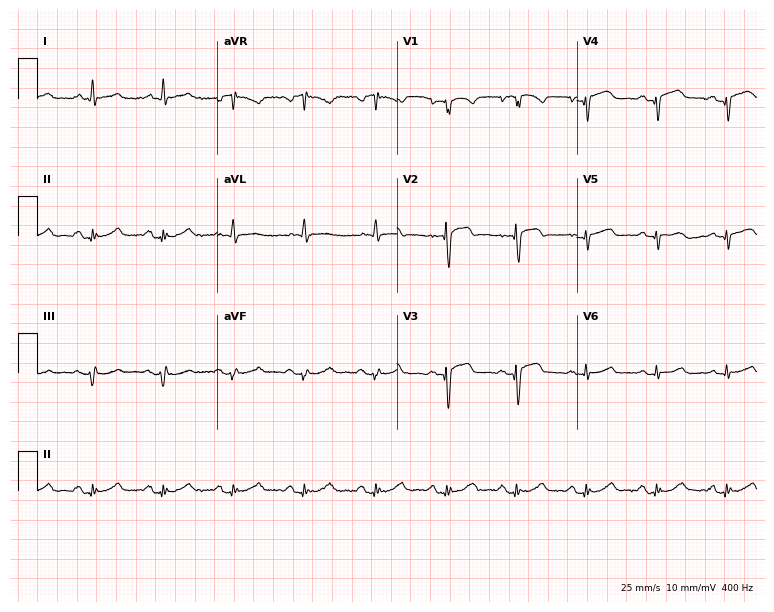
Electrocardiogram (7.3-second recording at 400 Hz), a 65-year-old male. Of the six screened findings (first-degree AV block, right bundle branch block (RBBB), left bundle branch block (LBBB), sinus bradycardia, atrial fibrillation (AF), sinus tachycardia), none is recorded.